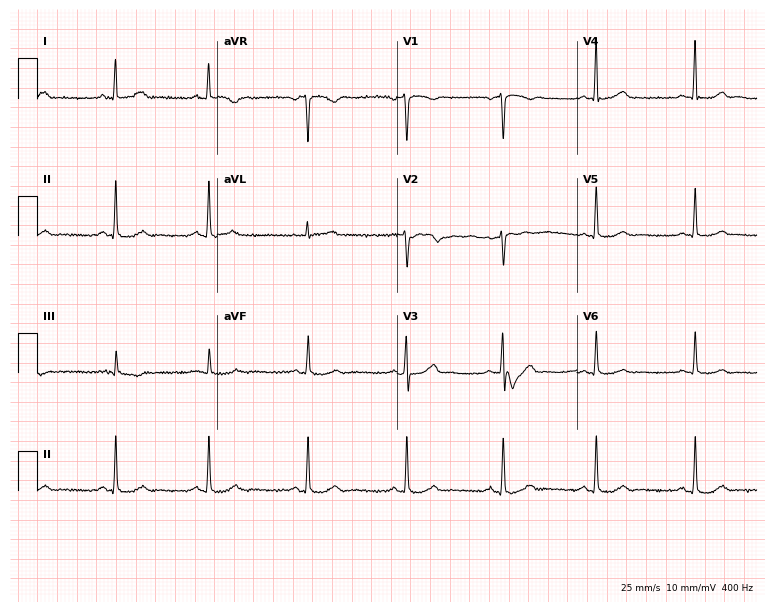
ECG (7.3-second recording at 400 Hz) — a 45-year-old female patient. Labelled as a normal ECG.